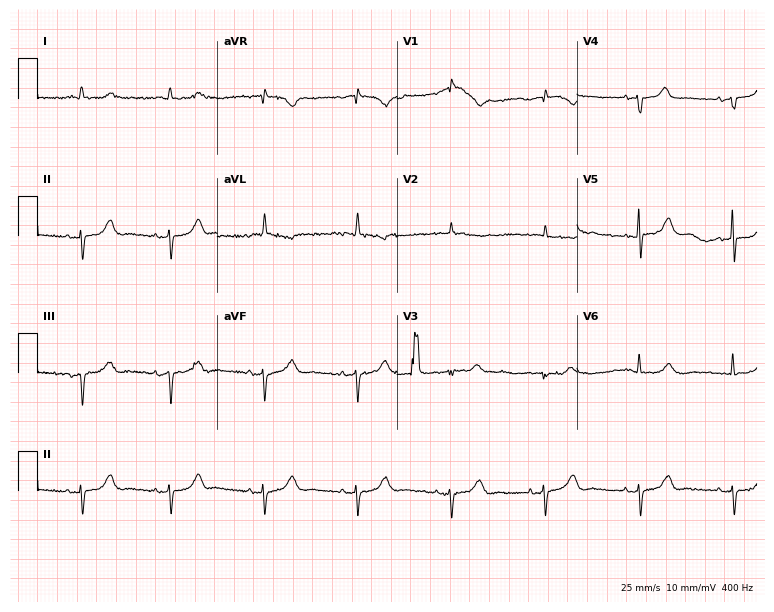
12-lead ECG from a woman, 80 years old. Screened for six findings — first-degree AV block, right bundle branch block, left bundle branch block, sinus bradycardia, atrial fibrillation, sinus tachycardia — none is recorded.